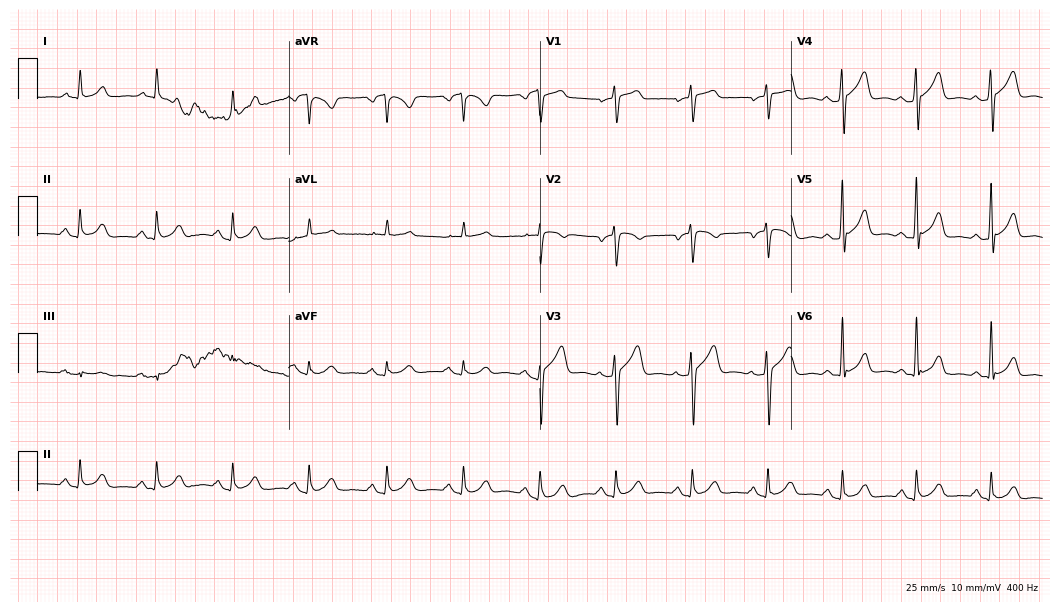
Electrocardiogram (10.2-second recording at 400 Hz), a 69-year-old man. Overall reading on record: normal ECG.